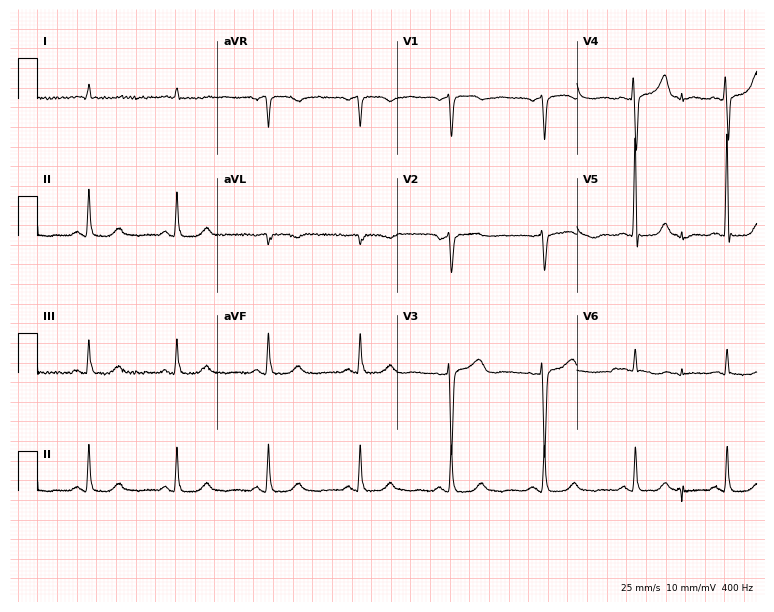
Standard 12-lead ECG recorded from a 77-year-old female patient. None of these six findings is recorded: first-degree AV block, right bundle branch block, left bundle branch block, sinus bradycardia, atrial fibrillation, sinus tachycardia.